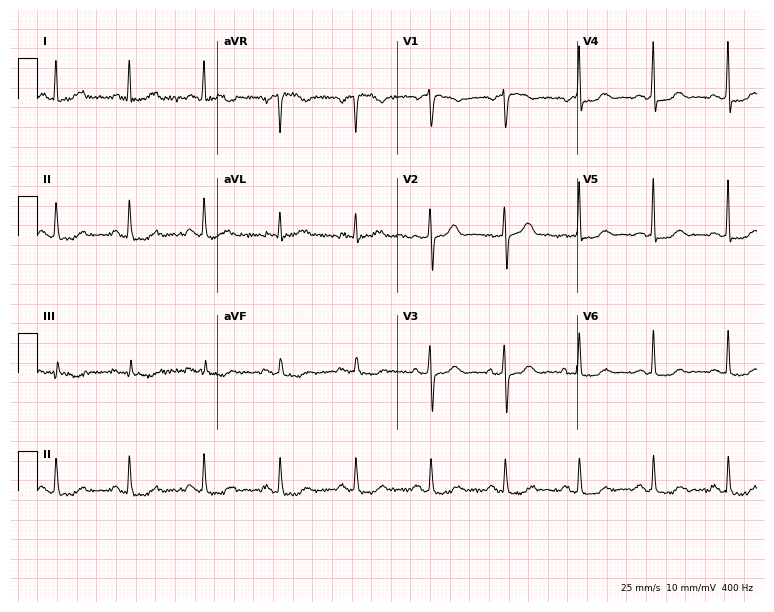
12-lead ECG from a 59-year-old female. Labelled as a normal ECG.